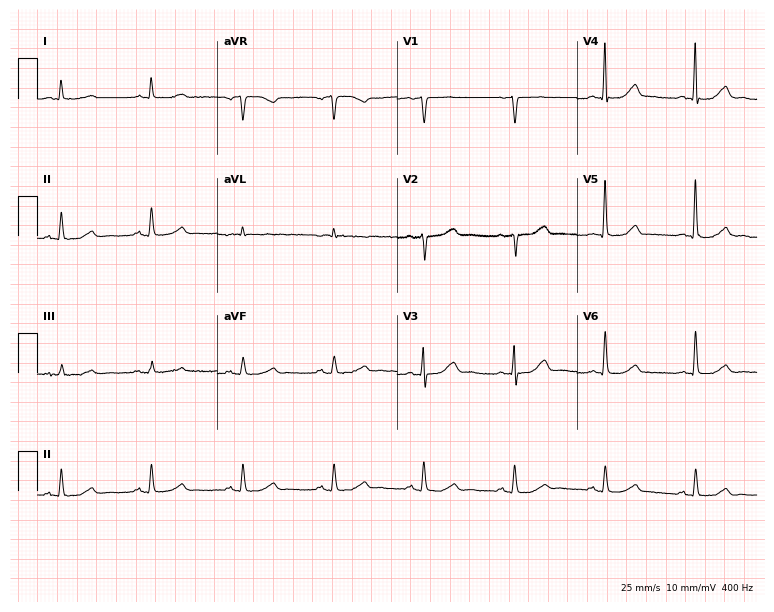
Electrocardiogram, a female patient, 75 years old. Overall reading on record: normal ECG.